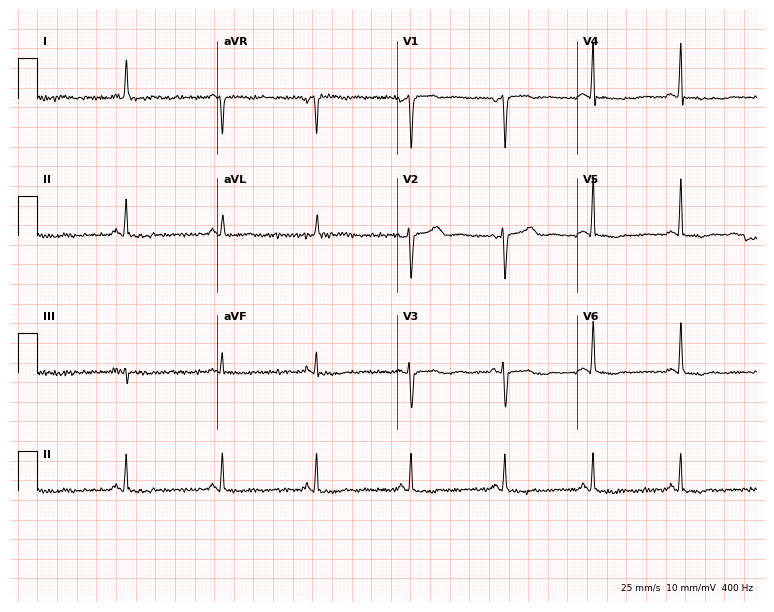
Electrocardiogram (7.3-second recording at 400 Hz), a 47-year-old woman. Of the six screened findings (first-degree AV block, right bundle branch block, left bundle branch block, sinus bradycardia, atrial fibrillation, sinus tachycardia), none is recorded. Findings outside these six are not listed.